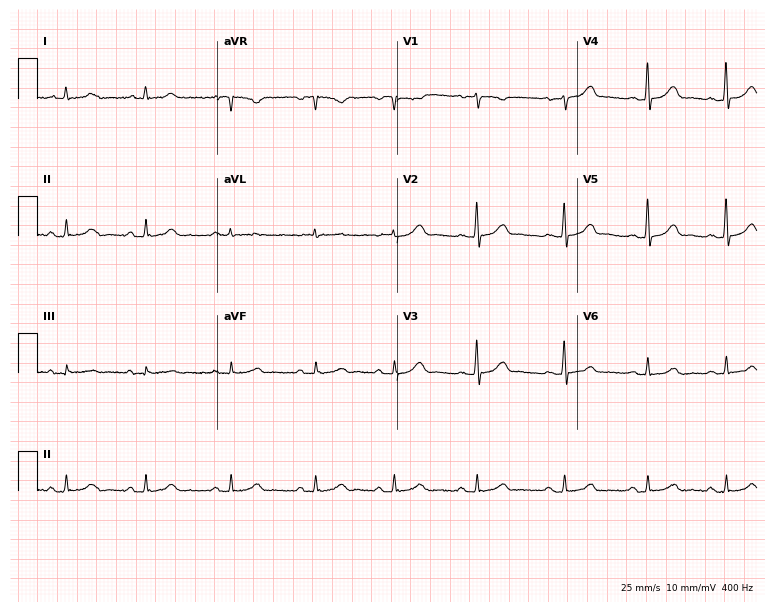
12-lead ECG from a 24-year-old female patient. Screened for six findings — first-degree AV block, right bundle branch block, left bundle branch block, sinus bradycardia, atrial fibrillation, sinus tachycardia — none is recorded. Other findings, if any, are not listed.